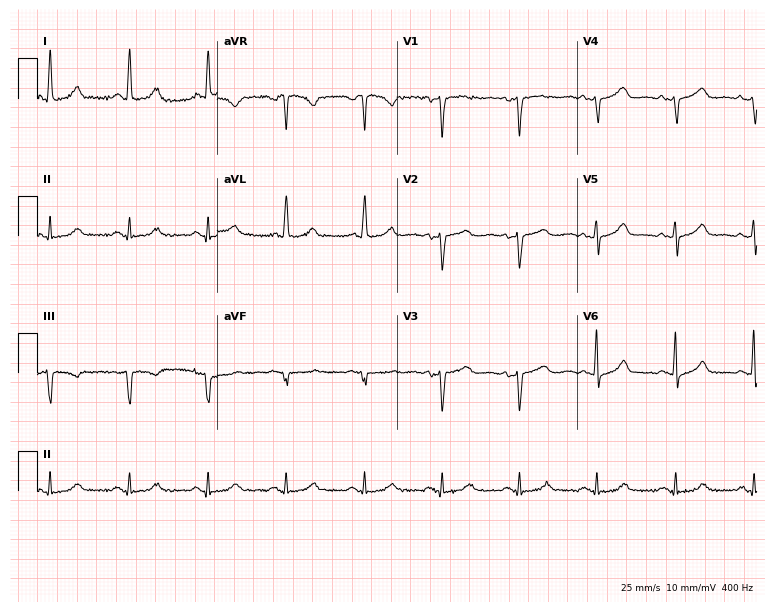
12-lead ECG from a 53-year-old woman (7.3-second recording at 400 Hz). No first-degree AV block, right bundle branch block (RBBB), left bundle branch block (LBBB), sinus bradycardia, atrial fibrillation (AF) or sinus tachycardia recorded for this tracing.